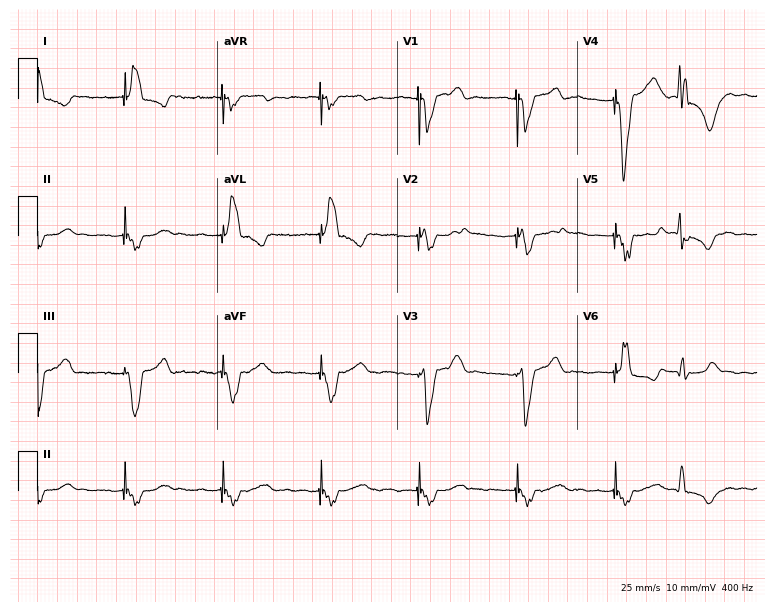
ECG (7.3-second recording at 400 Hz) — a 73-year-old female patient. Screened for six findings — first-degree AV block, right bundle branch block, left bundle branch block, sinus bradycardia, atrial fibrillation, sinus tachycardia — none is recorded. Other findings, if any, are not listed.